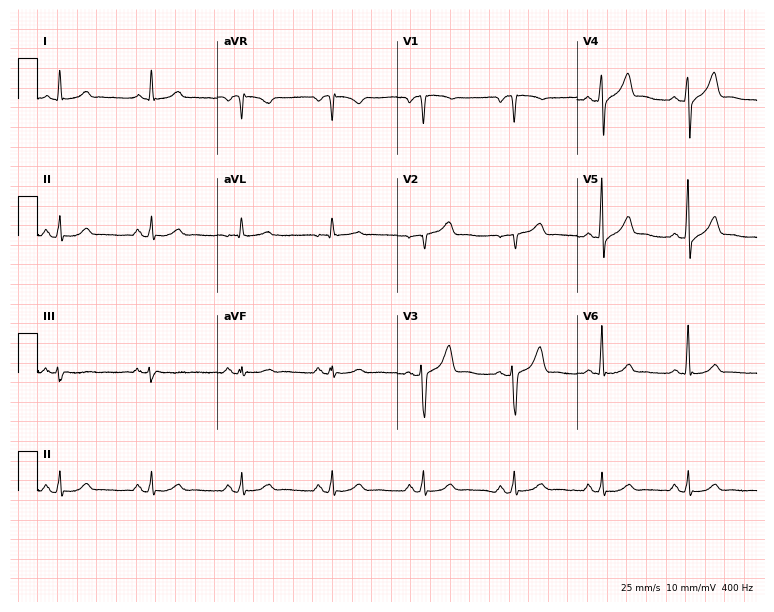
Resting 12-lead electrocardiogram (7.3-second recording at 400 Hz). Patient: a 51-year-old male. None of these six findings is recorded: first-degree AV block, right bundle branch block, left bundle branch block, sinus bradycardia, atrial fibrillation, sinus tachycardia. Findings outside these six are not listed.